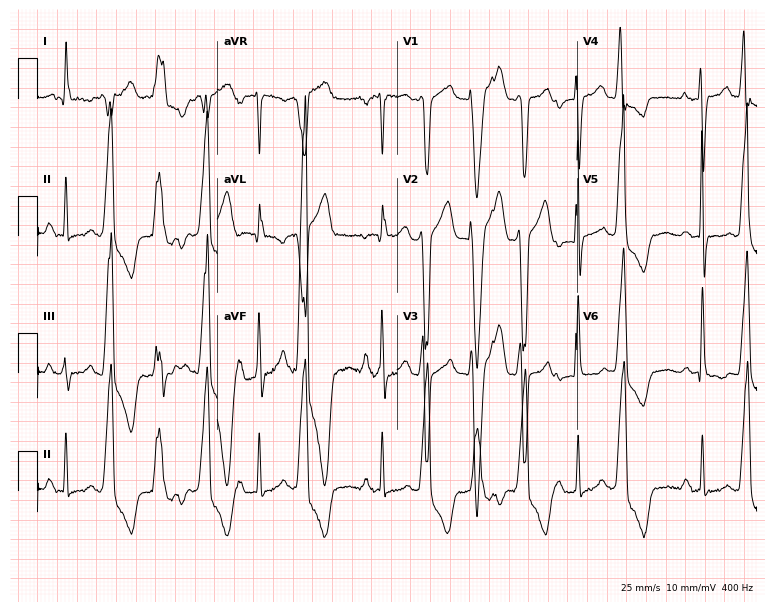
ECG — a female, 69 years old. Screened for six findings — first-degree AV block, right bundle branch block, left bundle branch block, sinus bradycardia, atrial fibrillation, sinus tachycardia — none is recorded.